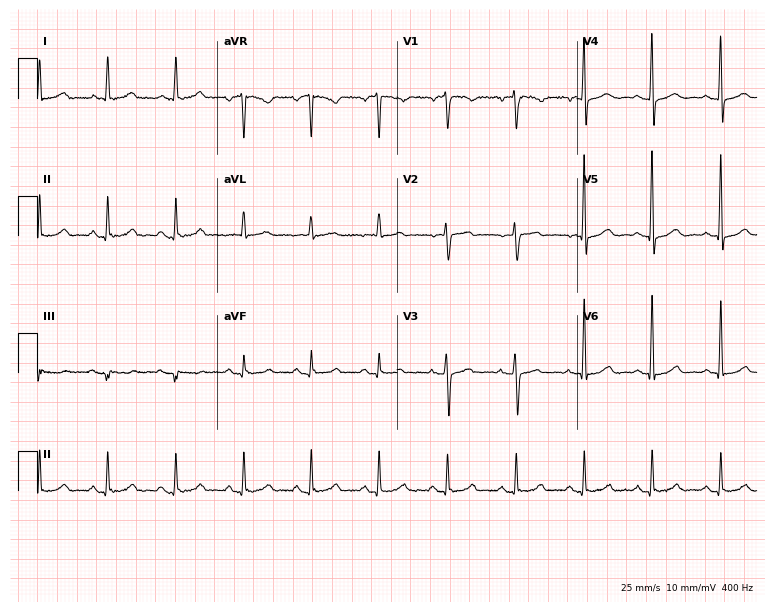
Standard 12-lead ECG recorded from a woman, 64 years old (7.3-second recording at 400 Hz). Read as a normal ECG.